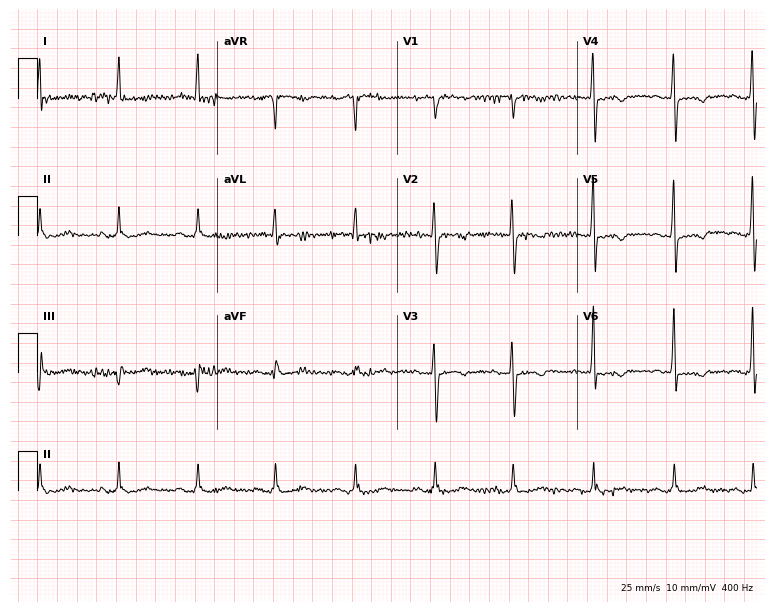
12-lead ECG from a female, 76 years old (7.3-second recording at 400 Hz). No first-degree AV block, right bundle branch block, left bundle branch block, sinus bradycardia, atrial fibrillation or sinus tachycardia recorded for this tracing.